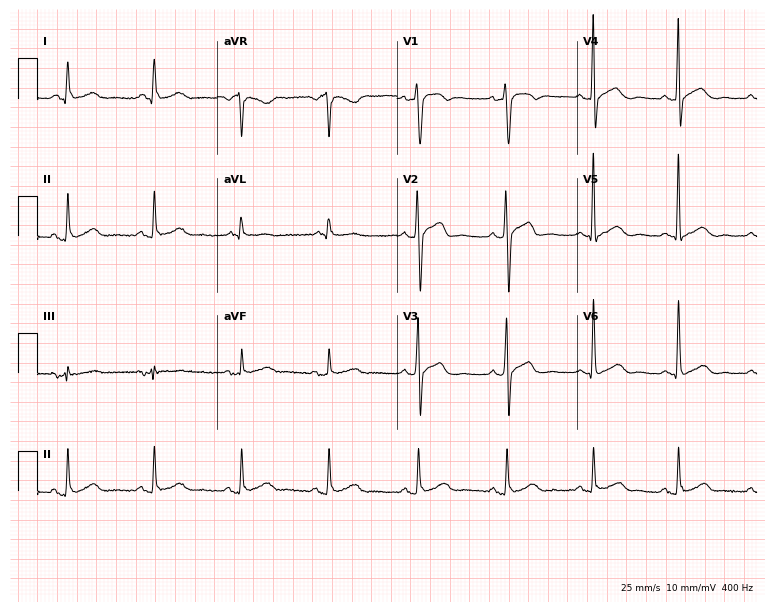
12-lead ECG from a male, 66 years old (7.3-second recording at 400 Hz). No first-degree AV block, right bundle branch block, left bundle branch block, sinus bradycardia, atrial fibrillation or sinus tachycardia recorded for this tracing. Only these six findings were labelled.